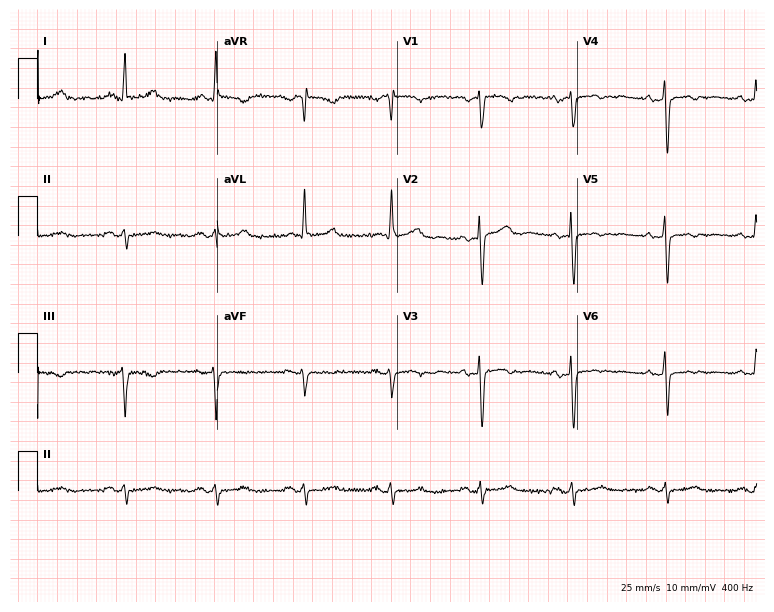
Resting 12-lead electrocardiogram. Patient: a 58-year-old woman. None of these six findings is recorded: first-degree AV block, right bundle branch block, left bundle branch block, sinus bradycardia, atrial fibrillation, sinus tachycardia.